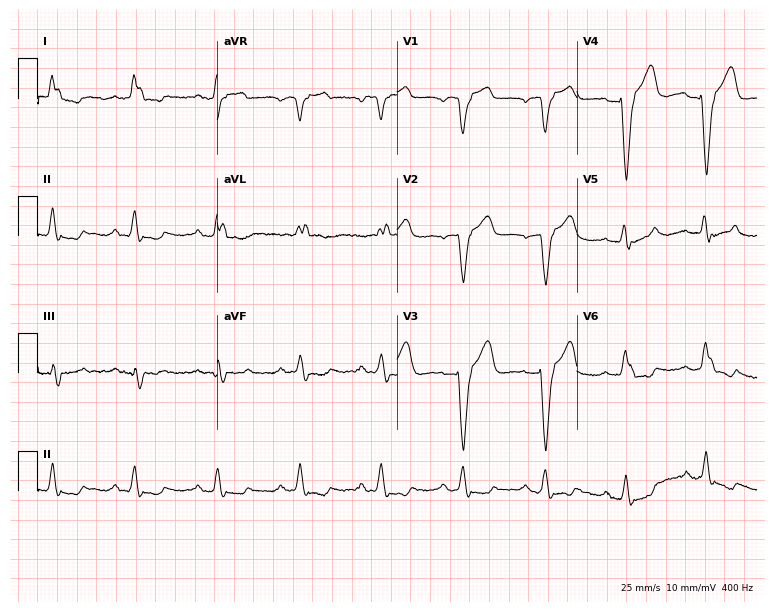
Electrocardiogram (7.3-second recording at 400 Hz), a 79-year-old male patient. Of the six screened findings (first-degree AV block, right bundle branch block (RBBB), left bundle branch block (LBBB), sinus bradycardia, atrial fibrillation (AF), sinus tachycardia), none is recorded.